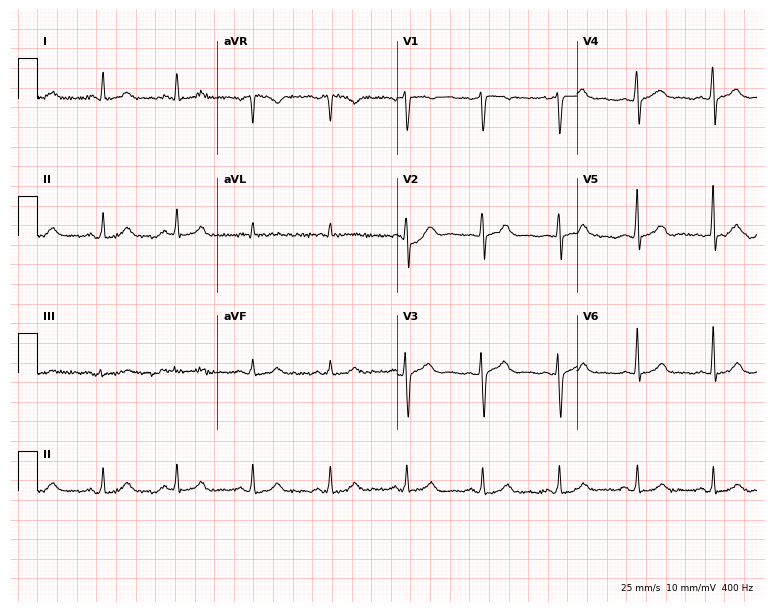
12-lead ECG from a female, 26 years old (7.3-second recording at 400 Hz). Recorded interpretation: within normal limits.